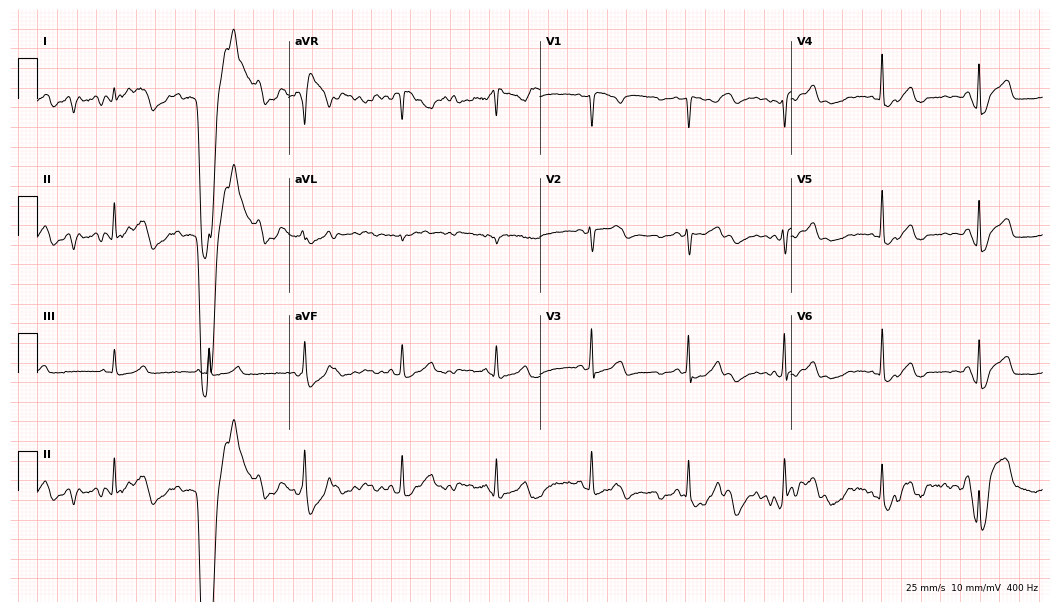
12-lead ECG from a female patient, 40 years old. Screened for six findings — first-degree AV block, right bundle branch block, left bundle branch block, sinus bradycardia, atrial fibrillation, sinus tachycardia — none is recorded. Other findings, if any, are not listed.